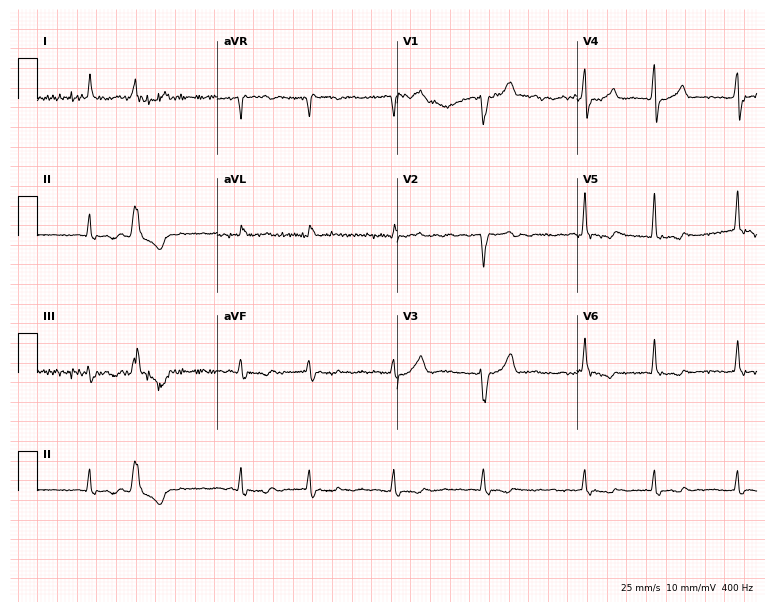
Electrocardiogram (7.3-second recording at 400 Hz), a 77-year-old male. Interpretation includes atrial fibrillation.